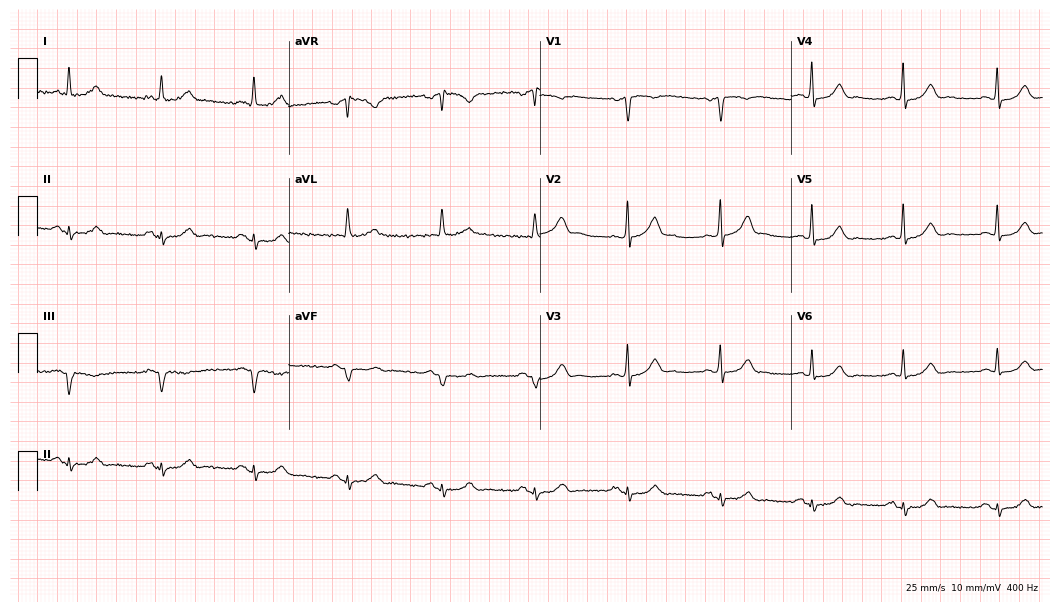
Resting 12-lead electrocardiogram (10.2-second recording at 400 Hz). Patient: a 67-year-old male. None of these six findings is recorded: first-degree AV block, right bundle branch block, left bundle branch block, sinus bradycardia, atrial fibrillation, sinus tachycardia. Only these six findings were labelled.